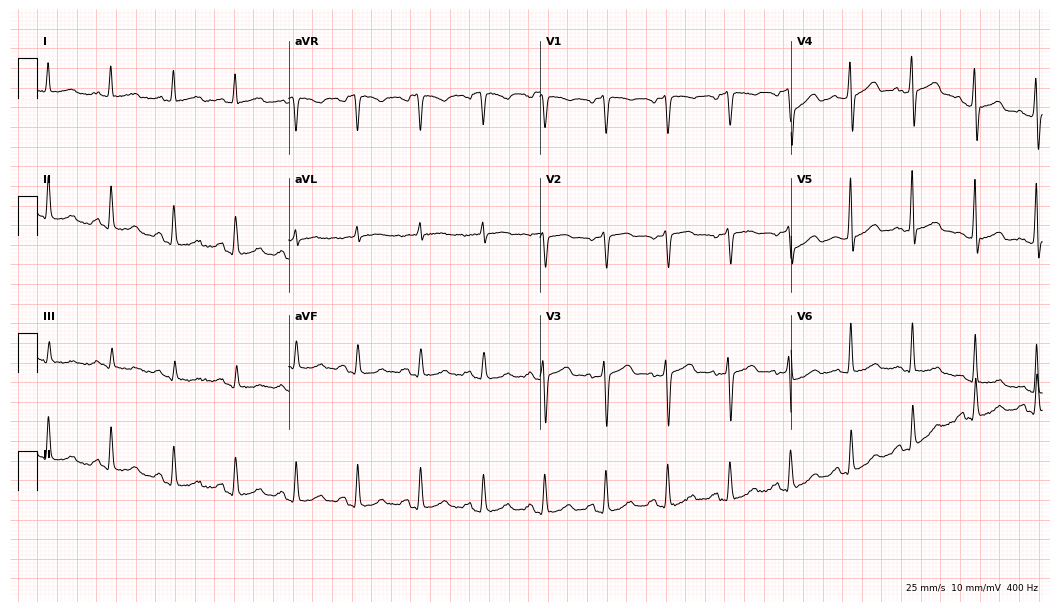
Resting 12-lead electrocardiogram (10.2-second recording at 400 Hz). Patient: a 52-year-old female. None of these six findings is recorded: first-degree AV block, right bundle branch block, left bundle branch block, sinus bradycardia, atrial fibrillation, sinus tachycardia.